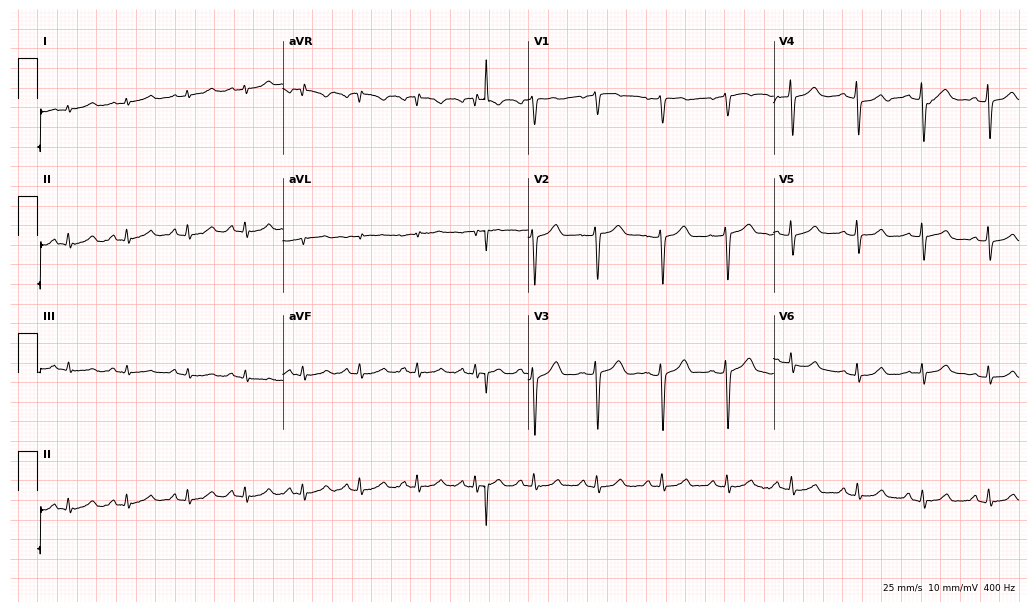
Electrocardiogram, a 43-year-old woman. Overall reading on record: normal ECG.